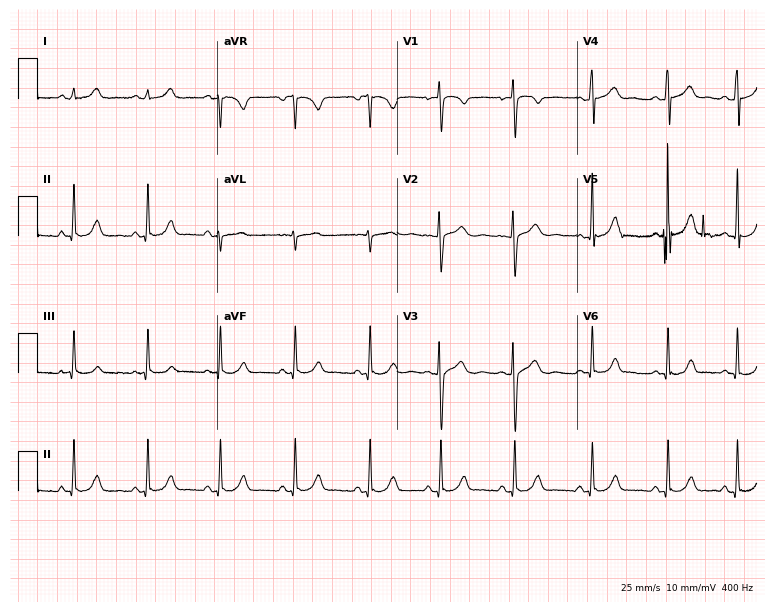
Standard 12-lead ECG recorded from a 23-year-old female patient (7.3-second recording at 400 Hz). Read as a normal ECG.